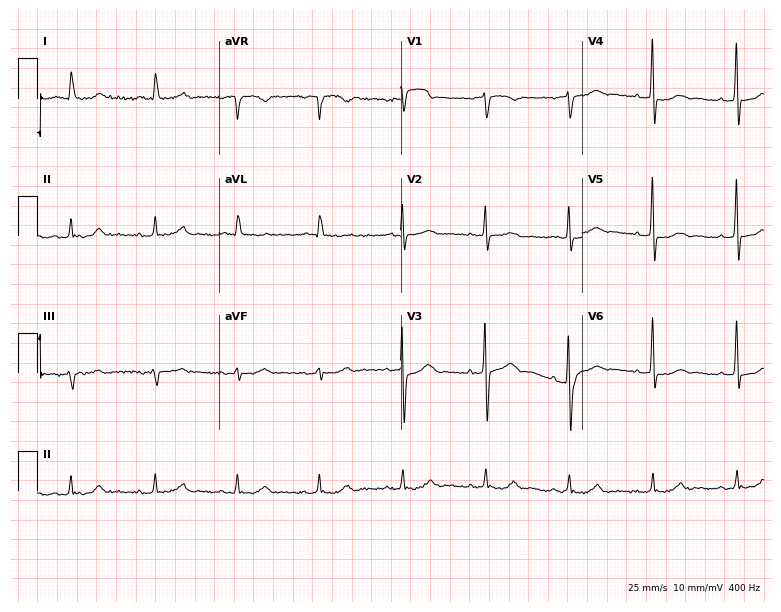
ECG (7.4-second recording at 400 Hz) — a man, 85 years old. Labelled as a normal ECG.